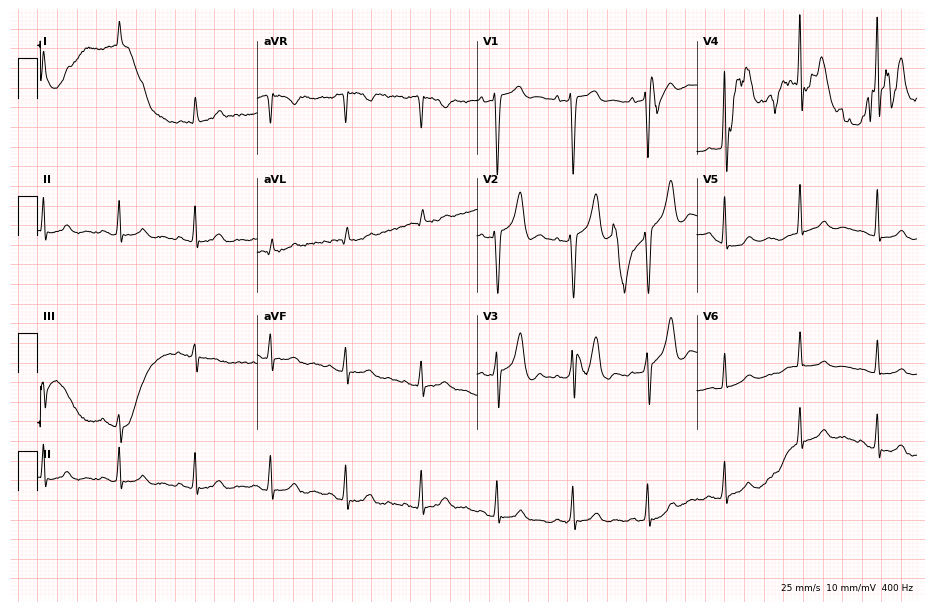
12-lead ECG from a woman, 84 years old. No first-degree AV block, right bundle branch block (RBBB), left bundle branch block (LBBB), sinus bradycardia, atrial fibrillation (AF) or sinus tachycardia recorded for this tracing.